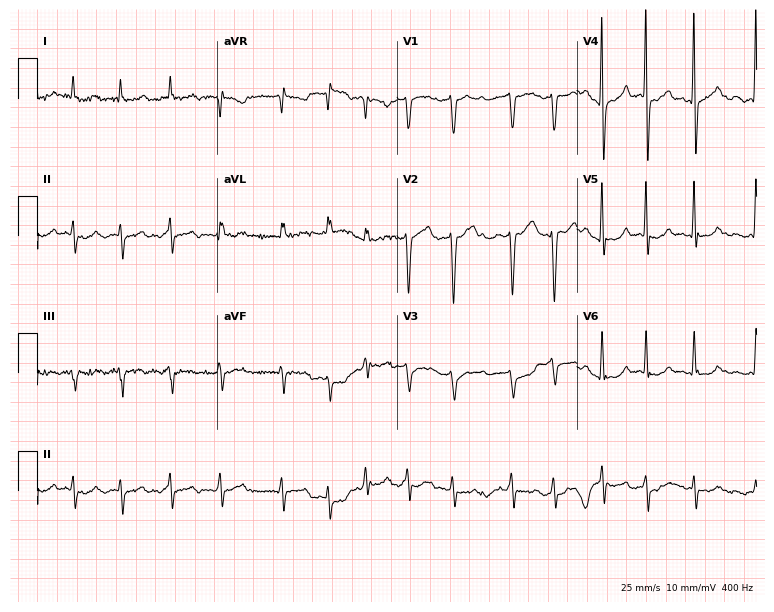
12-lead ECG (7.3-second recording at 400 Hz) from a 78-year-old male. Findings include atrial fibrillation.